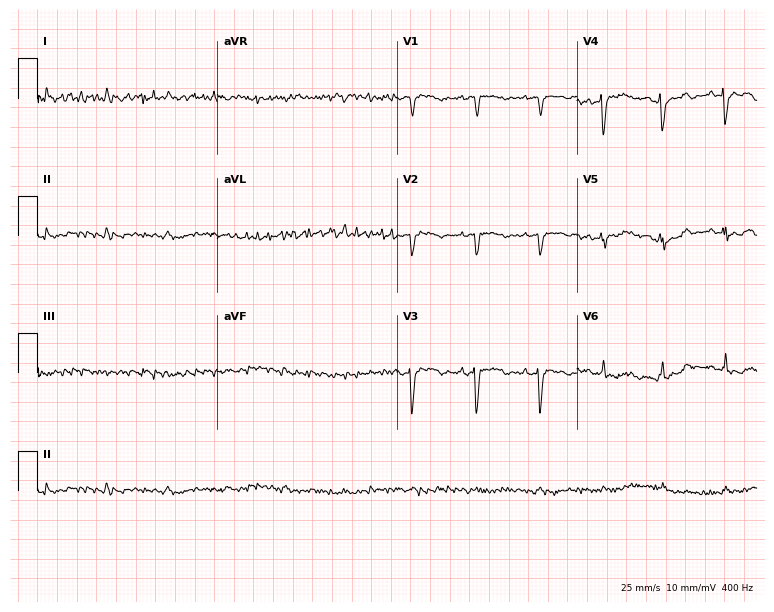
ECG — a 71-year-old woman. Screened for six findings — first-degree AV block, right bundle branch block (RBBB), left bundle branch block (LBBB), sinus bradycardia, atrial fibrillation (AF), sinus tachycardia — none is recorded.